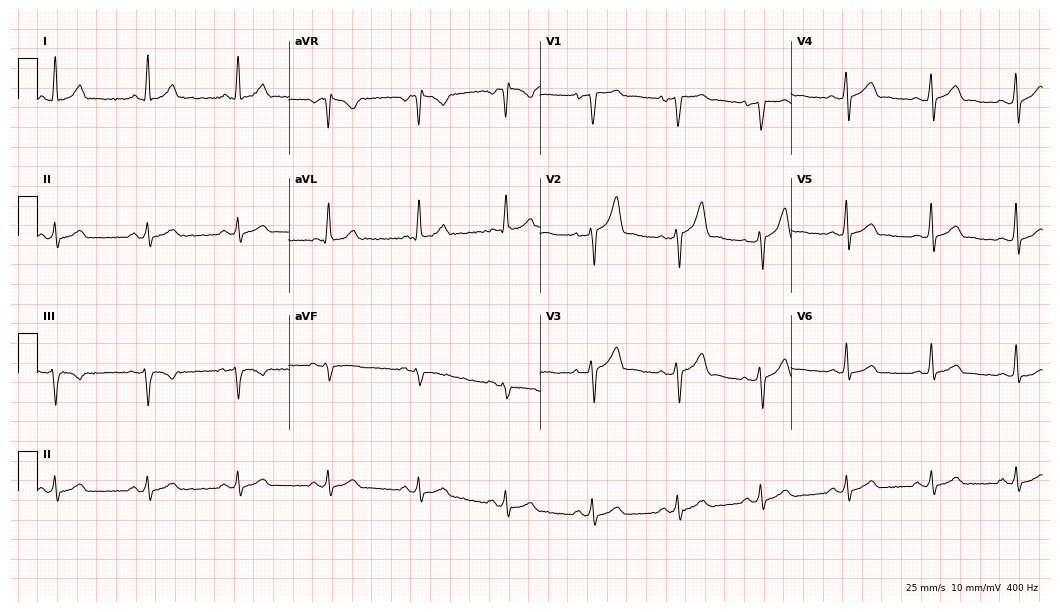
Electrocardiogram (10.2-second recording at 400 Hz), a man, 39 years old. Overall reading on record: normal ECG.